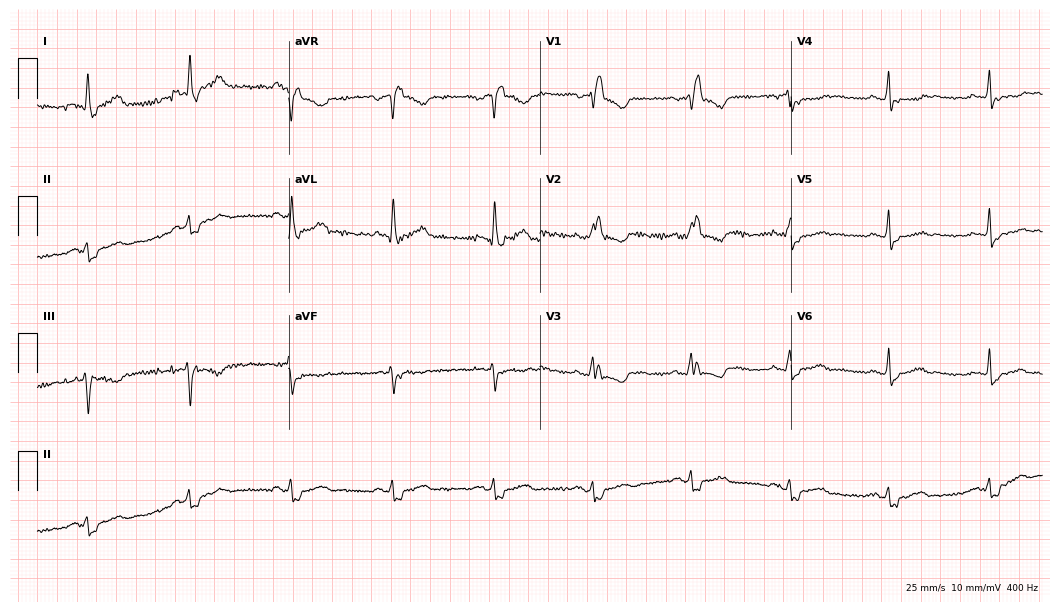
Electrocardiogram, a 57-year-old female. Interpretation includes right bundle branch block (RBBB).